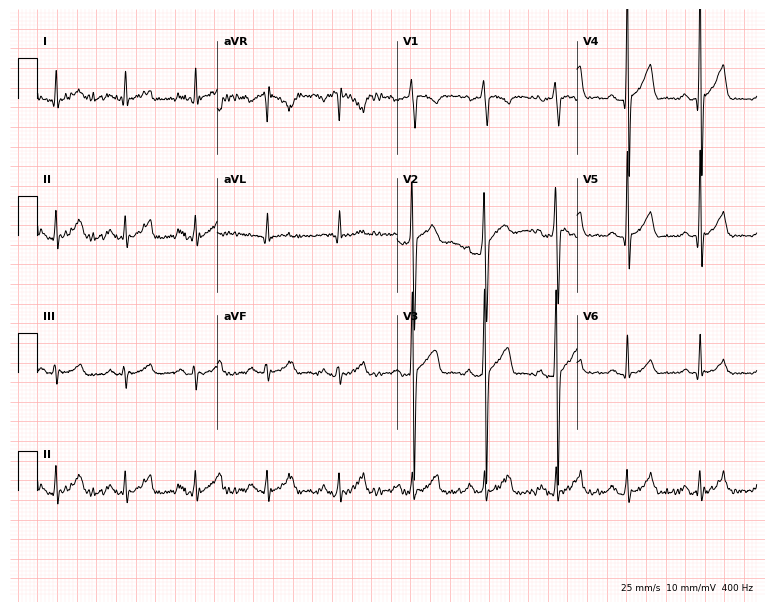
12-lead ECG from a male patient, 39 years old. No first-degree AV block, right bundle branch block (RBBB), left bundle branch block (LBBB), sinus bradycardia, atrial fibrillation (AF) or sinus tachycardia recorded for this tracing. Only these six findings were labelled.